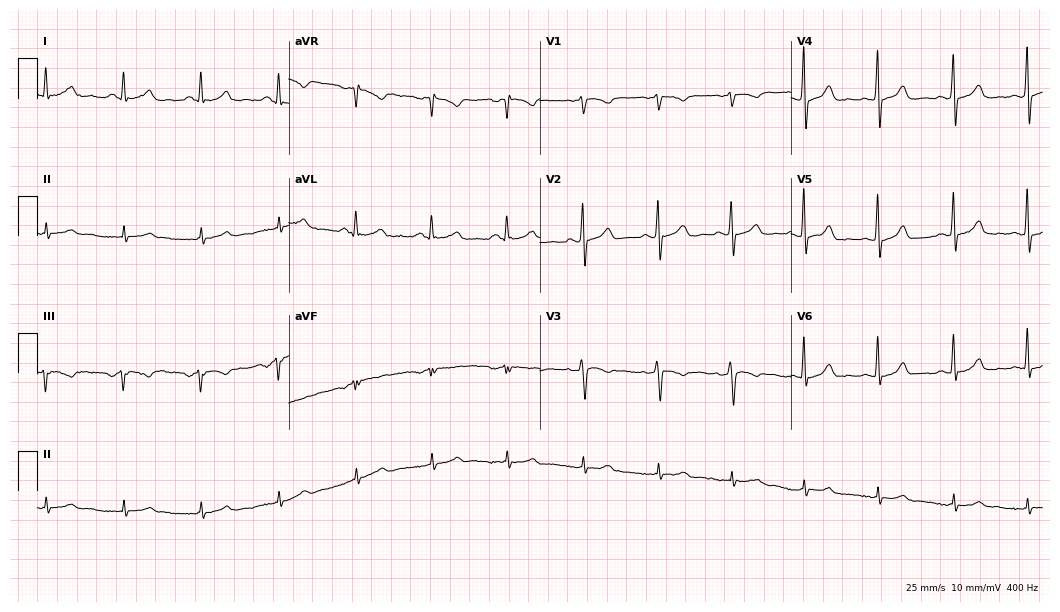
12-lead ECG from a man, 40 years old (10.2-second recording at 400 Hz). Recorded interpretation: within normal limits.